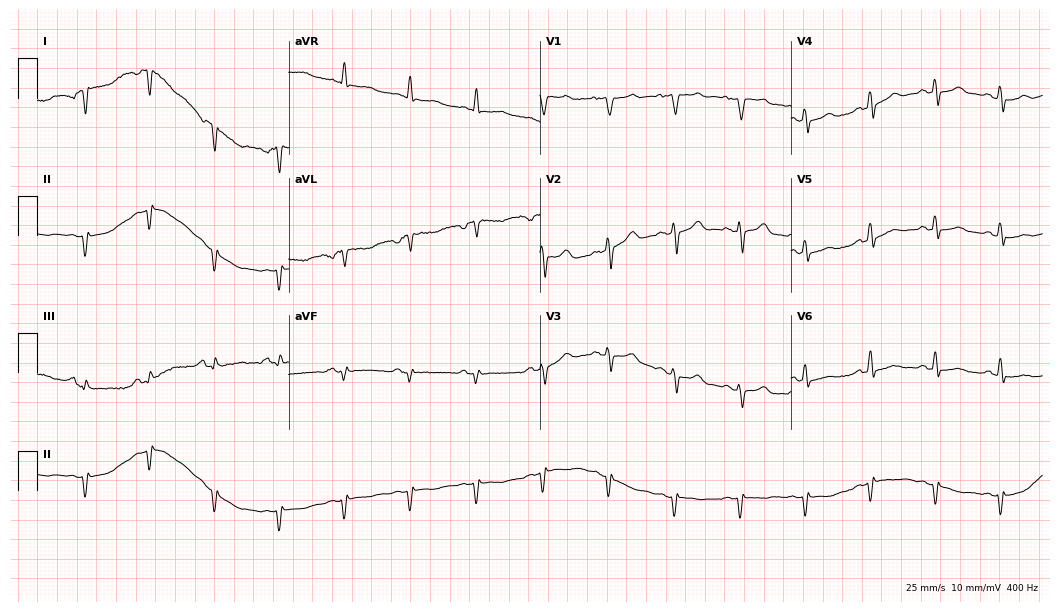
Standard 12-lead ECG recorded from a woman, 57 years old. None of these six findings is recorded: first-degree AV block, right bundle branch block, left bundle branch block, sinus bradycardia, atrial fibrillation, sinus tachycardia.